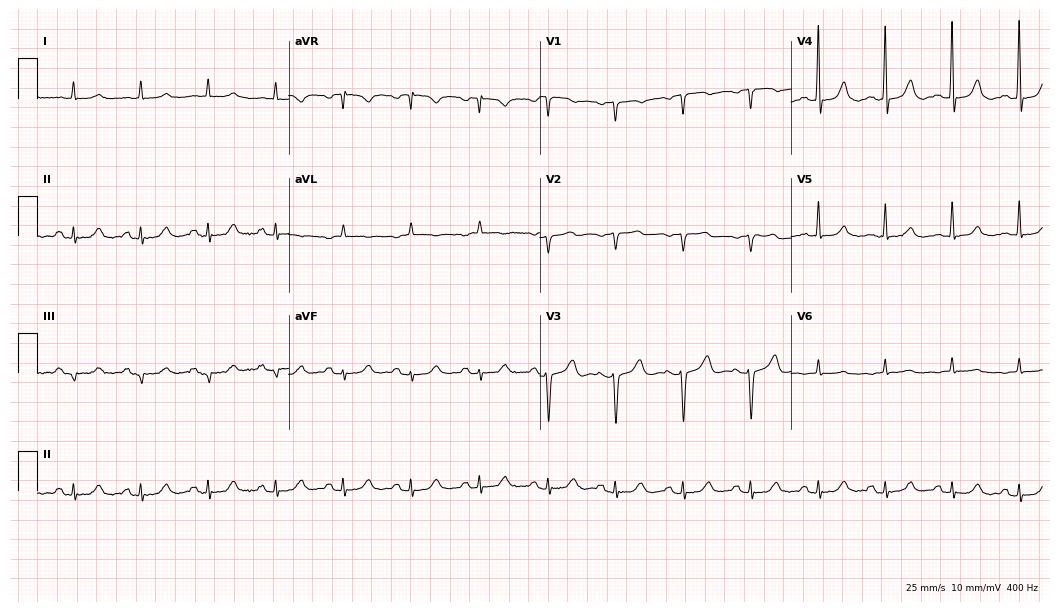
Resting 12-lead electrocardiogram (10.2-second recording at 400 Hz). Patient: a female, 84 years old. None of these six findings is recorded: first-degree AV block, right bundle branch block (RBBB), left bundle branch block (LBBB), sinus bradycardia, atrial fibrillation (AF), sinus tachycardia.